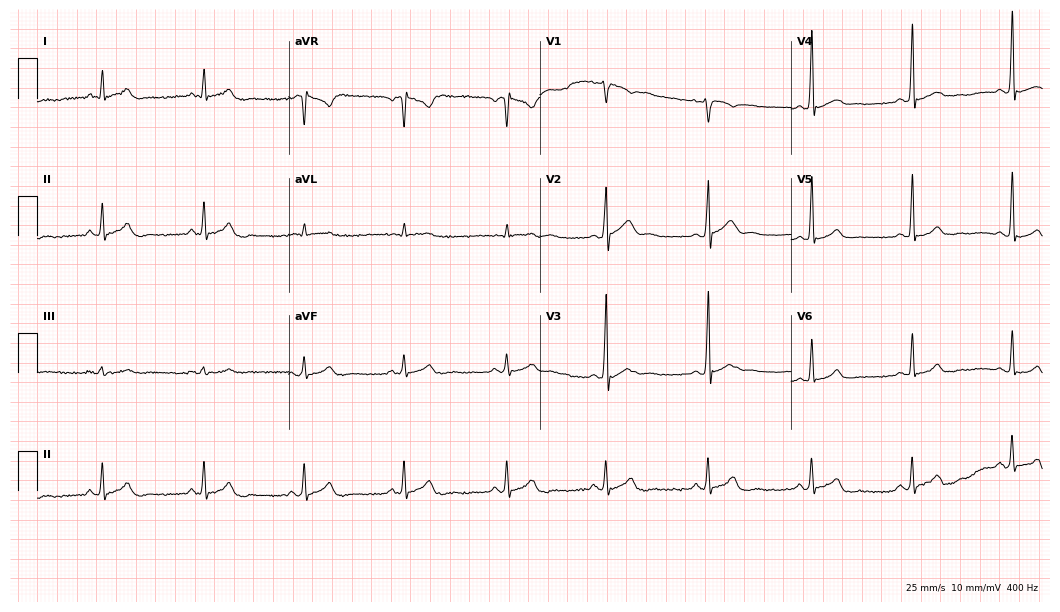
Electrocardiogram, a male, 32 years old. Of the six screened findings (first-degree AV block, right bundle branch block, left bundle branch block, sinus bradycardia, atrial fibrillation, sinus tachycardia), none is recorded.